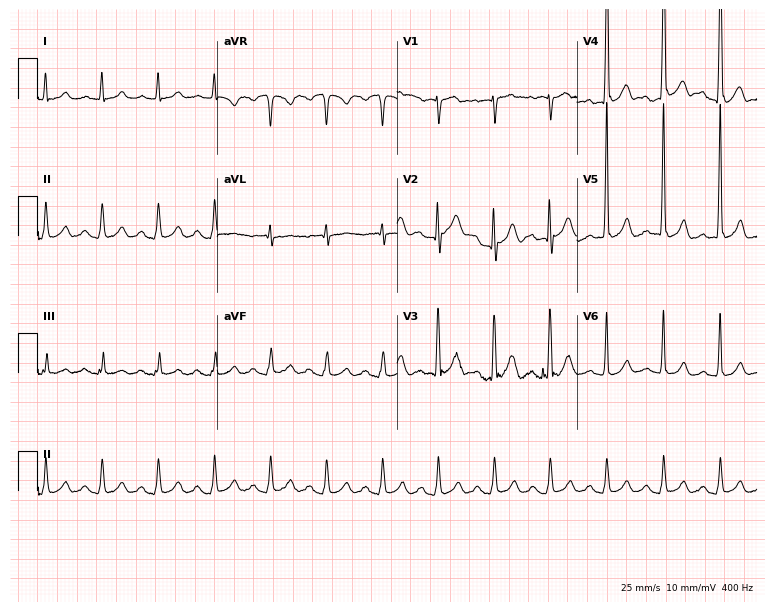
Resting 12-lead electrocardiogram. Patient: a 58-year-old male. The tracing shows sinus tachycardia (a sinus rate of 100 beats per minute or more).